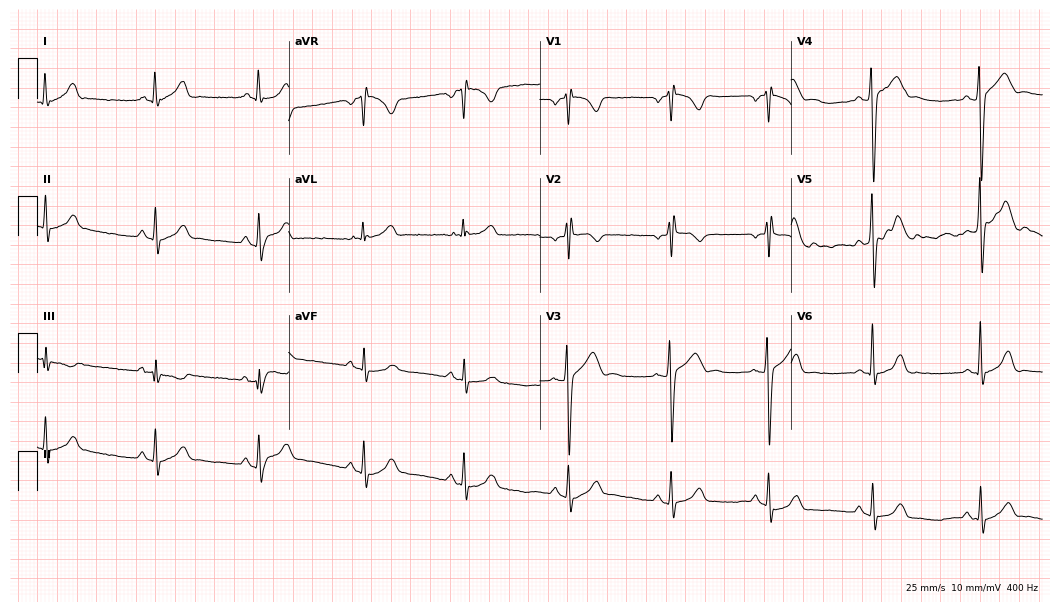
Electrocardiogram, a man, 24 years old. Overall reading on record: normal ECG.